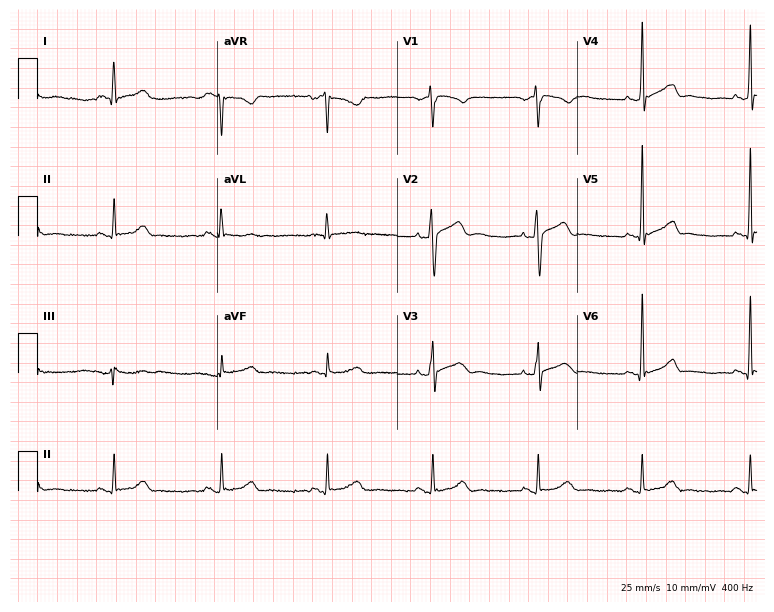
12-lead ECG from a 44-year-old man. Labelled as a normal ECG.